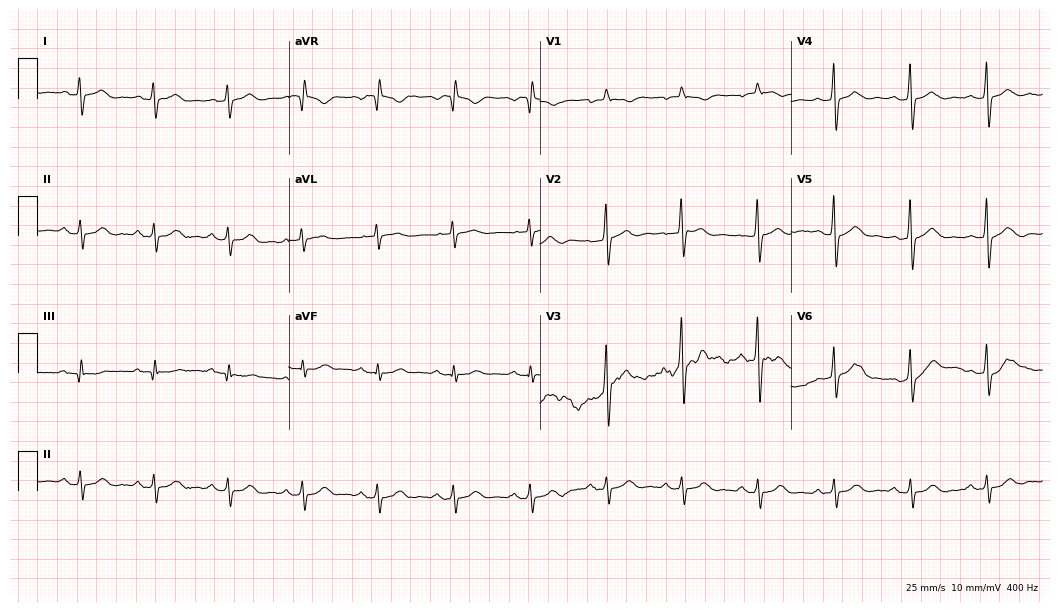
Electrocardiogram, a 63-year-old male. Of the six screened findings (first-degree AV block, right bundle branch block (RBBB), left bundle branch block (LBBB), sinus bradycardia, atrial fibrillation (AF), sinus tachycardia), none is recorded.